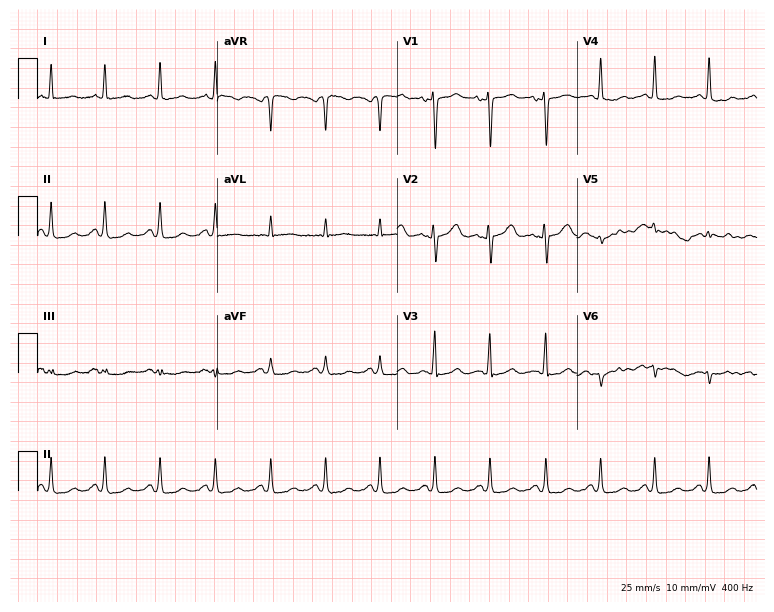
12-lead ECG from a female patient, 47 years old. Findings include sinus tachycardia (a sinus rate of 100 beats per minute or more).